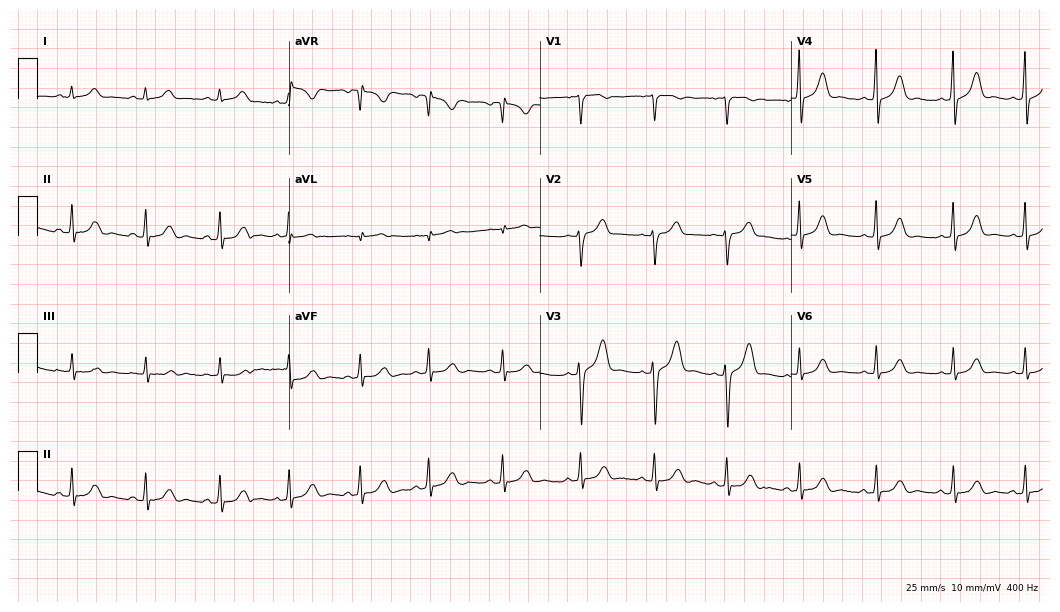
Resting 12-lead electrocardiogram. Patient: a female, 18 years old. None of these six findings is recorded: first-degree AV block, right bundle branch block, left bundle branch block, sinus bradycardia, atrial fibrillation, sinus tachycardia. Only these six findings were labelled.